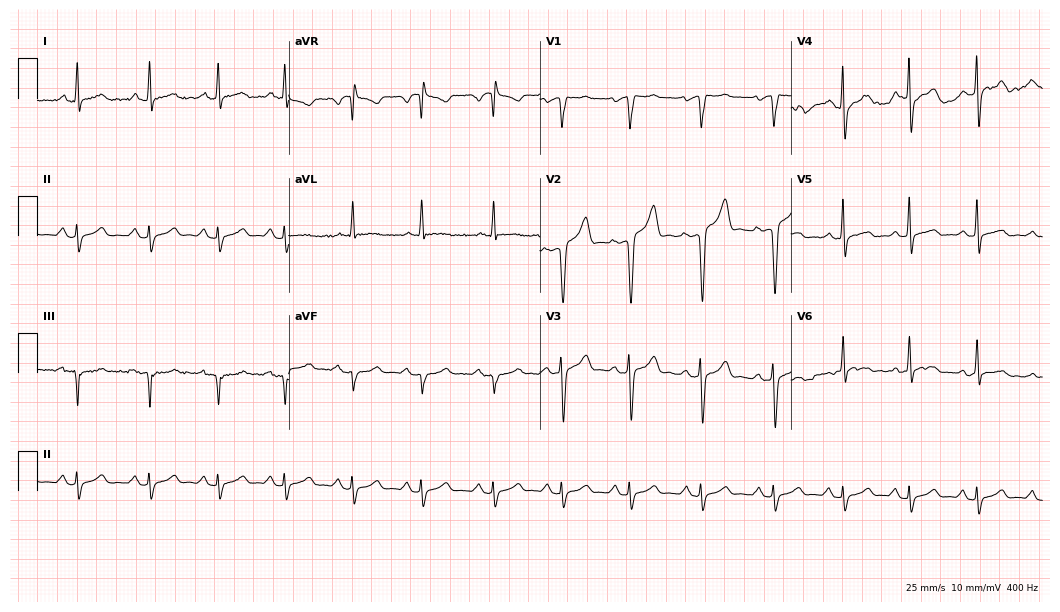
Standard 12-lead ECG recorded from a 46-year-old man. None of these six findings is recorded: first-degree AV block, right bundle branch block (RBBB), left bundle branch block (LBBB), sinus bradycardia, atrial fibrillation (AF), sinus tachycardia. Other findings, if any, are not listed.